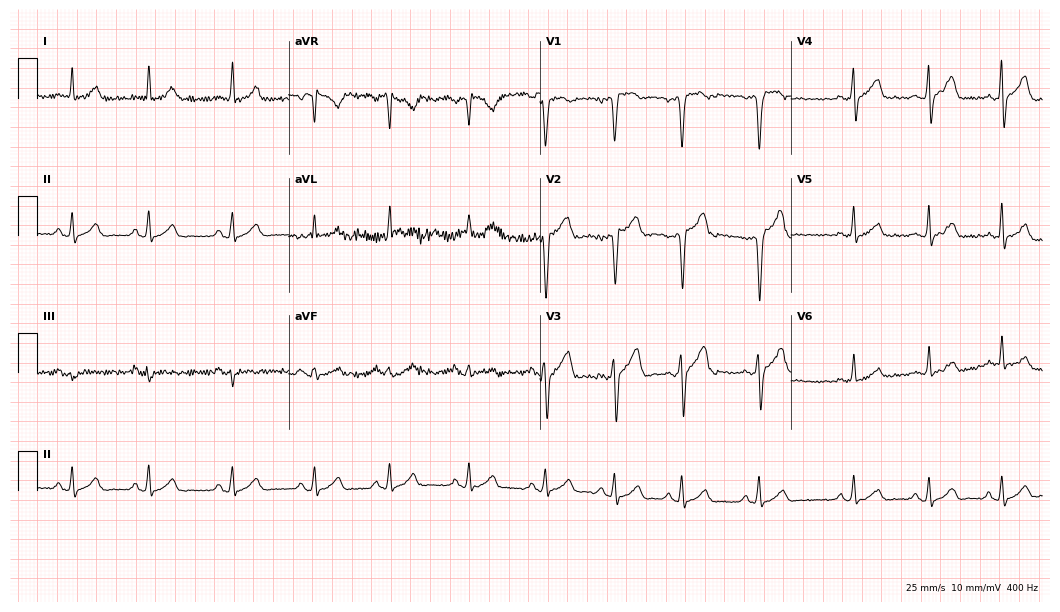
12-lead ECG (10.2-second recording at 400 Hz) from a male patient, 20 years old. Labelled as a normal ECG.